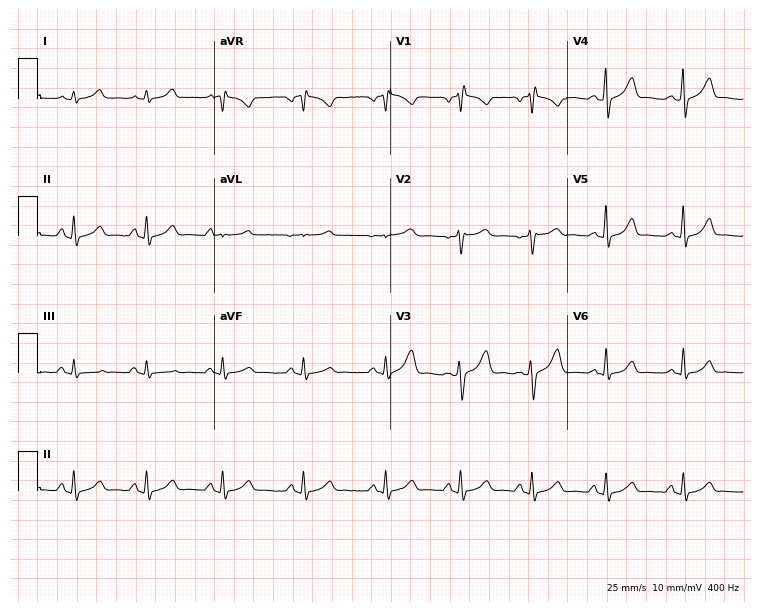
12-lead ECG from a 35-year-old female patient. No first-degree AV block, right bundle branch block, left bundle branch block, sinus bradycardia, atrial fibrillation or sinus tachycardia recorded for this tracing. Findings outside these six are not listed.